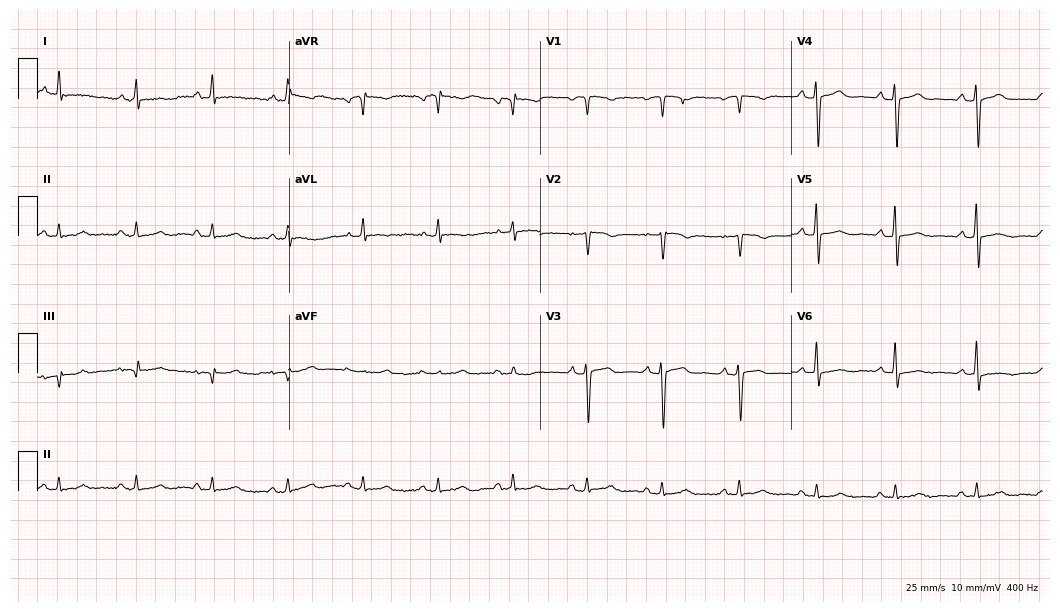
Electrocardiogram, a 58-year-old male patient. Of the six screened findings (first-degree AV block, right bundle branch block, left bundle branch block, sinus bradycardia, atrial fibrillation, sinus tachycardia), none is recorded. Findings outside these six are not listed.